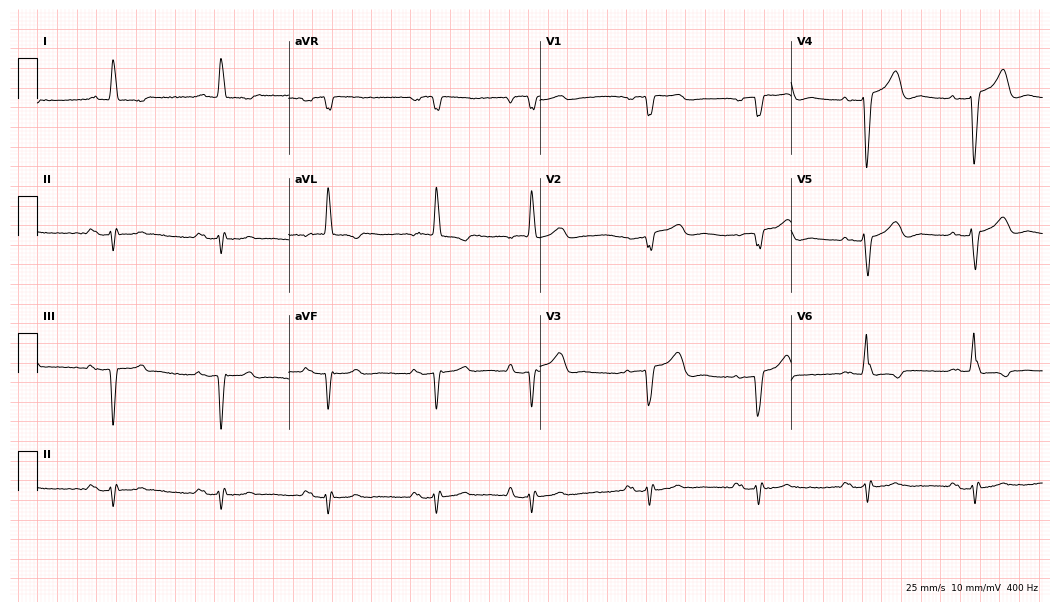
Standard 12-lead ECG recorded from a male, 74 years old. The tracing shows first-degree AV block.